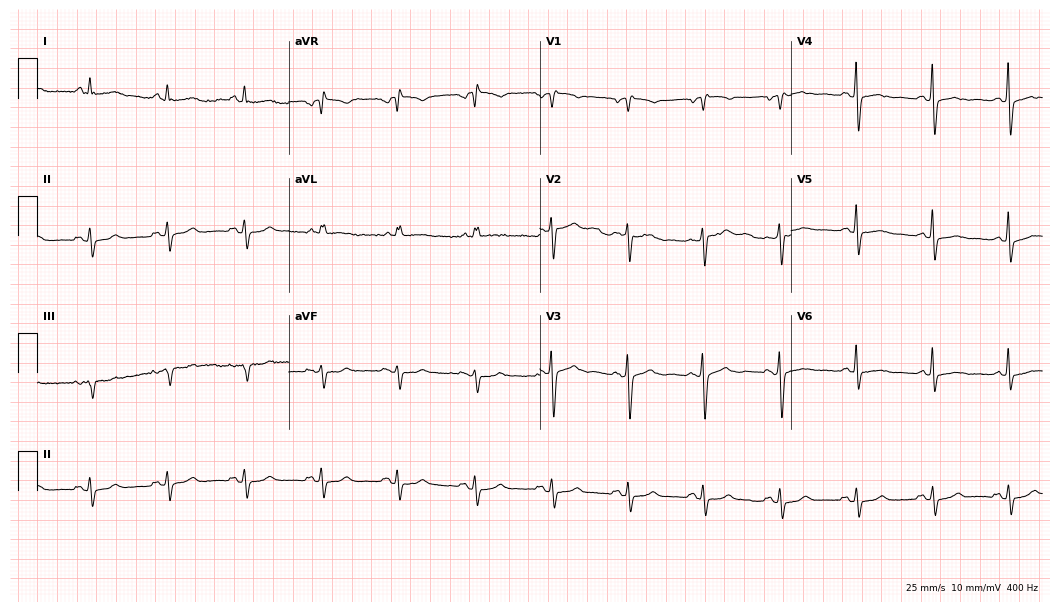
12-lead ECG (10.2-second recording at 400 Hz) from a female, 79 years old. Screened for six findings — first-degree AV block, right bundle branch block (RBBB), left bundle branch block (LBBB), sinus bradycardia, atrial fibrillation (AF), sinus tachycardia — none is recorded.